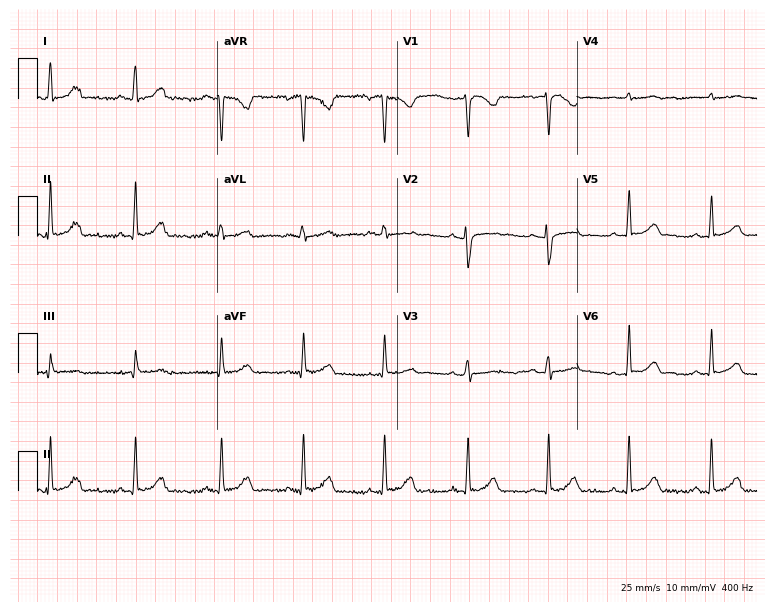
Resting 12-lead electrocardiogram (7.3-second recording at 400 Hz). Patient: a woman, 37 years old. Read as a normal ECG.